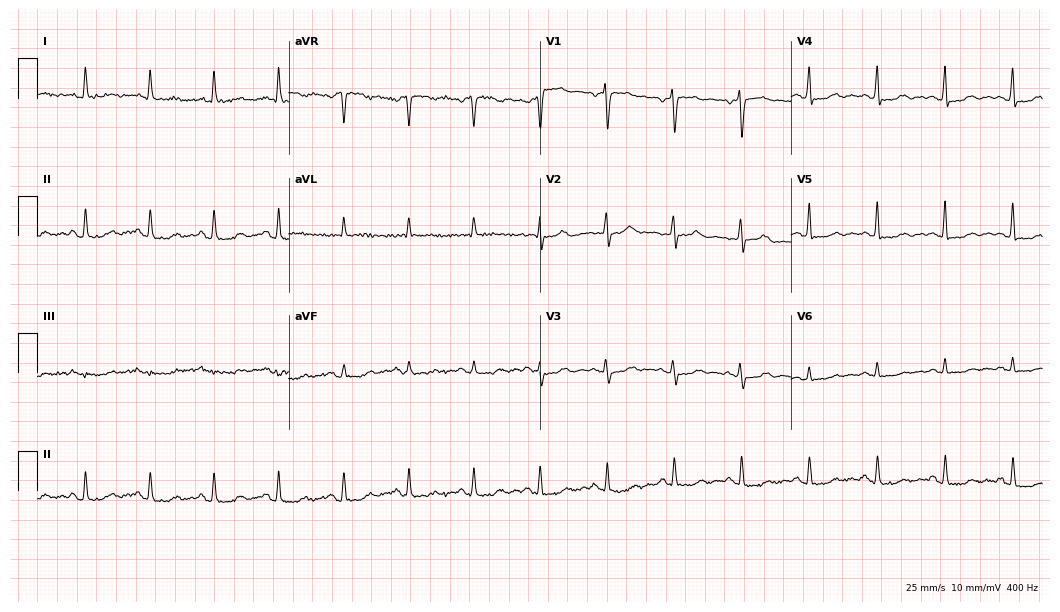
Resting 12-lead electrocardiogram (10.2-second recording at 400 Hz). Patient: a female, 65 years old. None of these six findings is recorded: first-degree AV block, right bundle branch block (RBBB), left bundle branch block (LBBB), sinus bradycardia, atrial fibrillation (AF), sinus tachycardia. Findings outside these six are not listed.